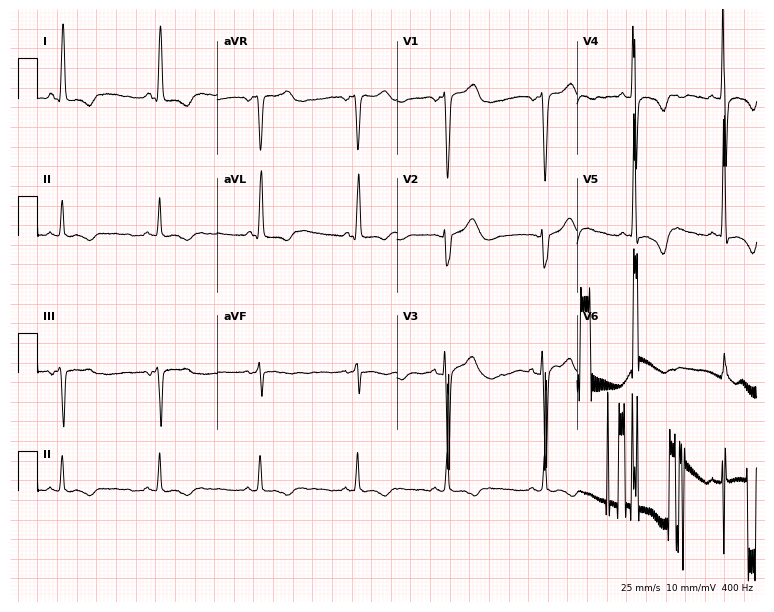
12-lead ECG from a 55-year-old female. No first-degree AV block, right bundle branch block, left bundle branch block, sinus bradycardia, atrial fibrillation or sinus tachycardia recorded for this tracing.